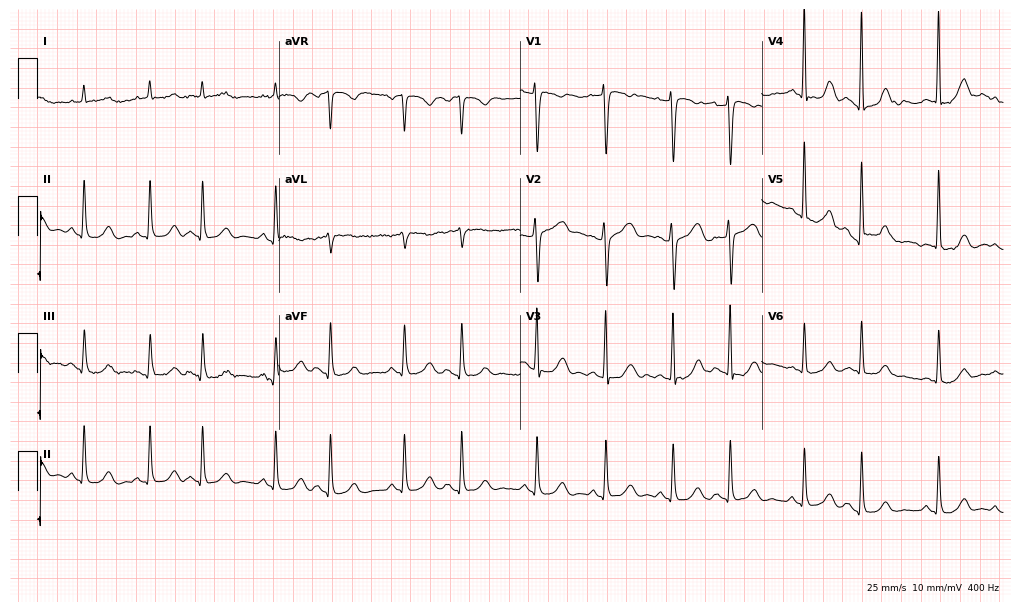
12-lead ECG from a male patient, 61 years old (9.8-second recording at 400 Hz). No first-degree AV block, right bundle branch block, left bundle branch block, sinus bradycardia, atrial fibrillation or sinus tachycardia recorded for this tracing. Other findings, if any, are not listed.